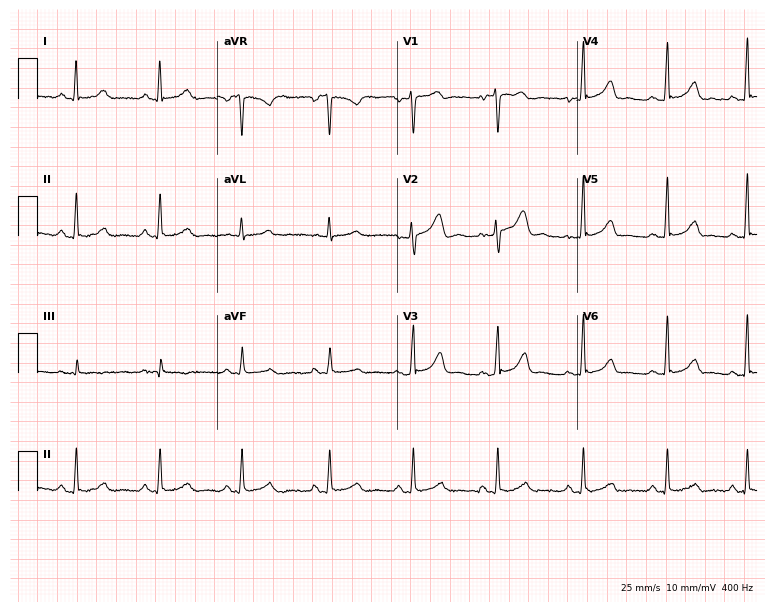
Resting 12-lead electrocardiogram (7.3-second recording at 400 Hz). Patient: a 42-year-old female. None of these six findings is recorded: first-degree AV block, right bundle branch block, left bundle branch block, sinus bradycardia, atrial fibrillation, sinus tachycardia. Only these six findings were labelled.